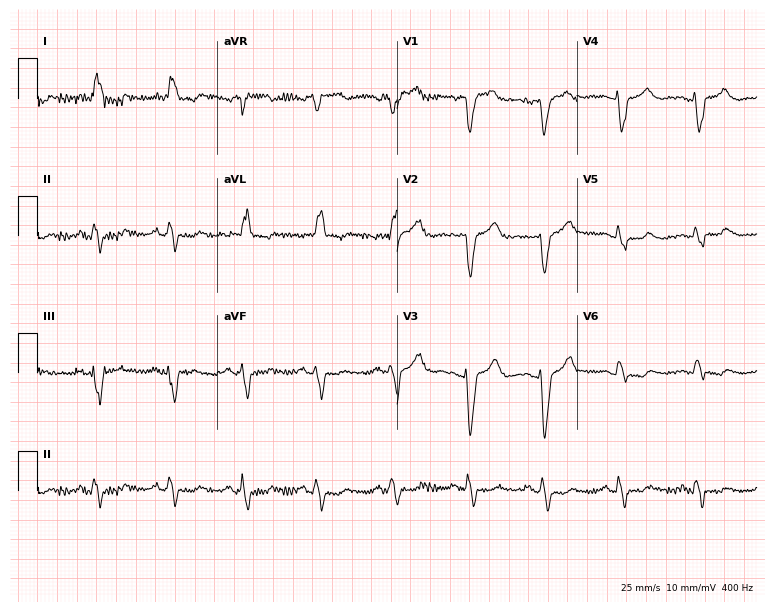
12-lead ECG from a woman, 75 years old (7.3-second recording at 400 Hz). Shows left bundle branch block.